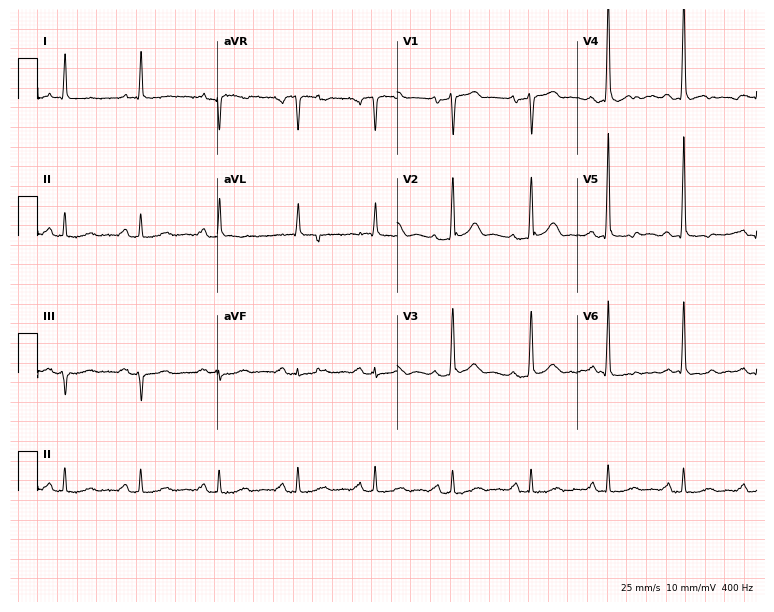
Standard 12-lead ECG recorded from a male patient, 70 years old. None of these six findings is recorded: first-degree AV block, right bundle branch block, left bundle branch block, sinus bradycardia, atrial fibrillation, sinus tachycardia. Findings outside these six are not listed.